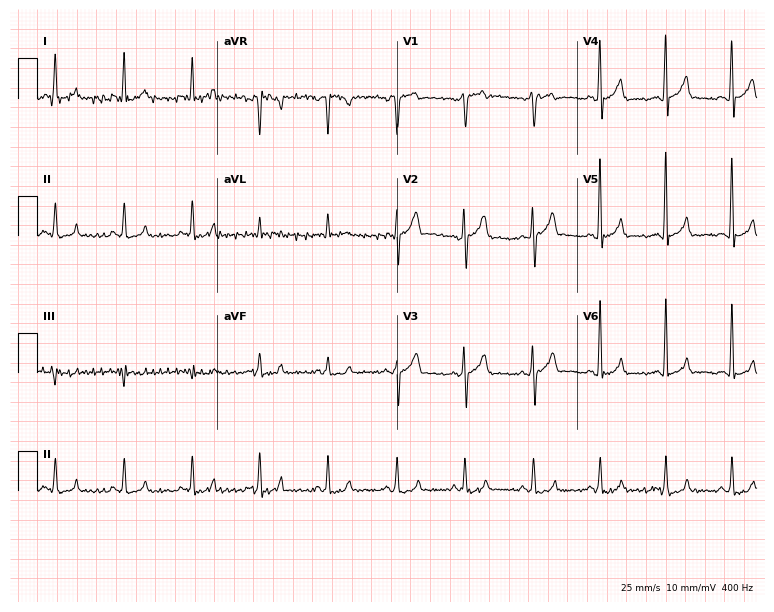
12-lead ECG from a man, 37 years old. Screened for six findings — first-degree AV block, right bundle branch block, left bundle branch block, sinus bradycardia, atrial fibrillation, sinus tachycardia — none is recorded. Other findings, if any, are not listed.